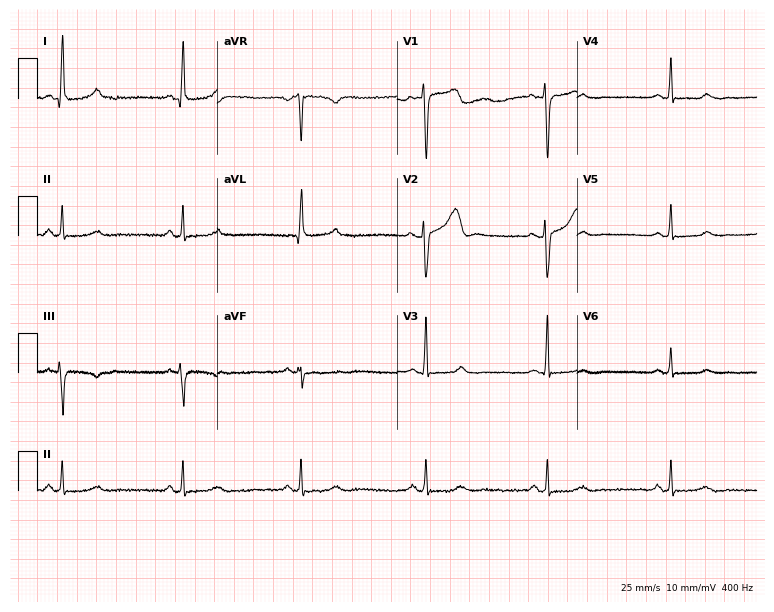
Electrocardiogram, a 49-year-old woman. Interpretation includes sinus bradycardia (a sinus rate of 50 beats per minute or less).